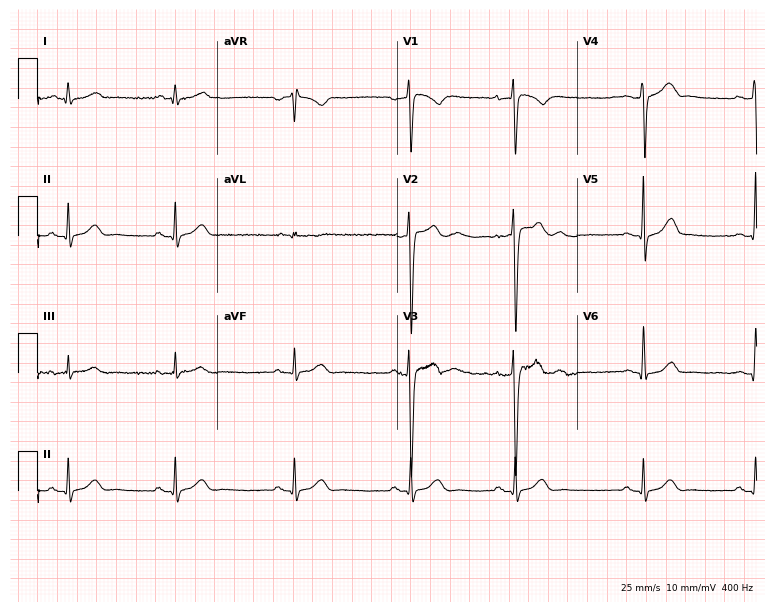
Standard 12-lead ECG recorded from an 18-year-old male (7.3-second recording at 400 Hz). None of these six findings is recorded: first-degree AV block, right bundle branch block (RBBB), left bundle branch block (LBBB), sinus bradycardia, atrial fibrillation (AF), sinus tachycardia. Findings outside these six are not listed.